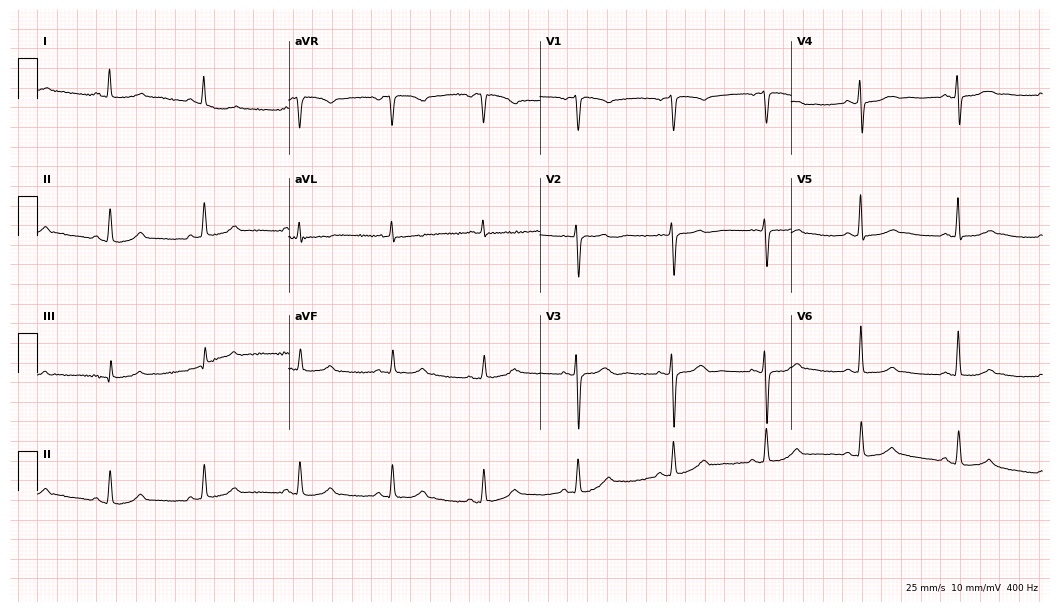
Electrocardiogram, a female patient, 61 years old. Overall reading on record: normal ECG.